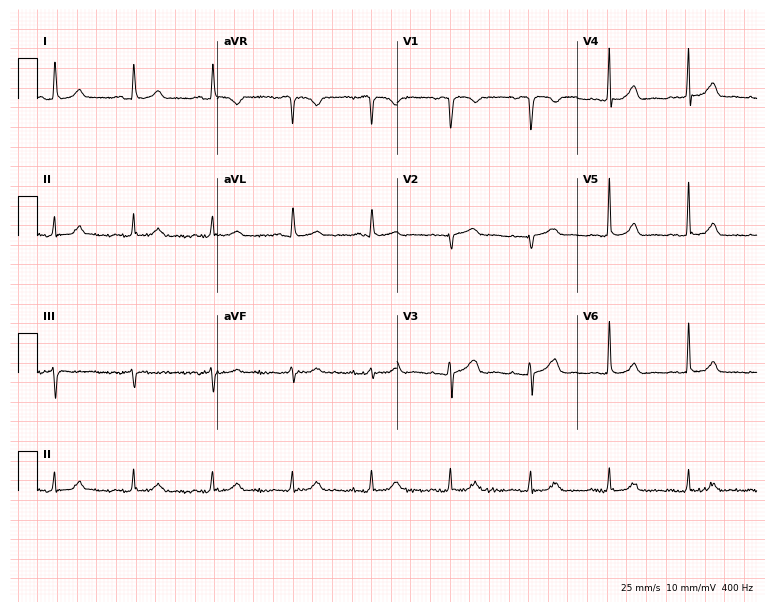
12-lead ECG from an 81-year-old female patient. Recorded interpretation: within normal limits.